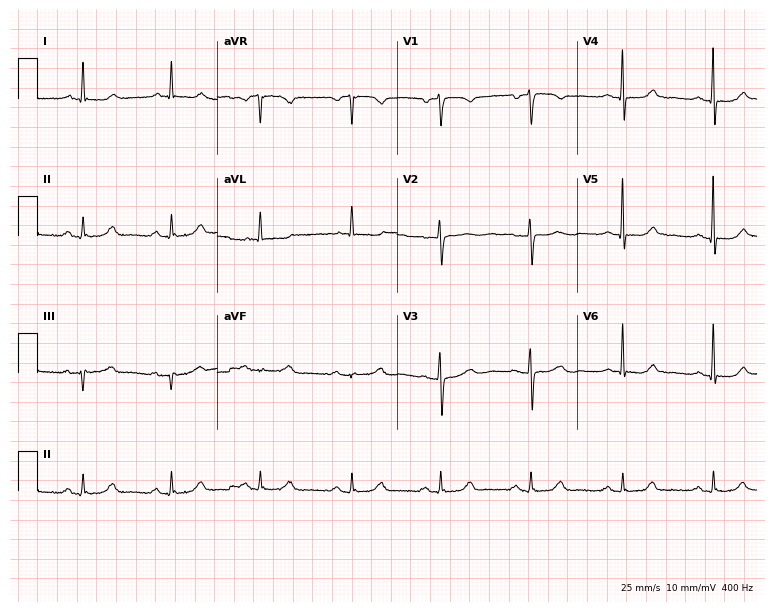
12-lead ECG from a woman, 79 years old (7.3-second recording at 400 Hz). Recorded interpretation: within normal limits.